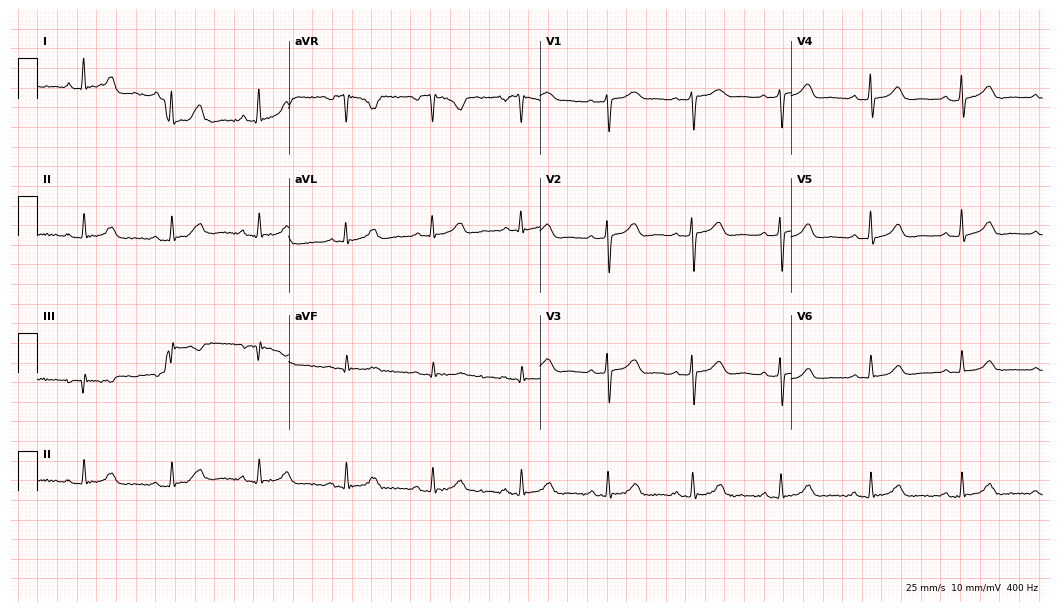
12-lead ECG from a 57-year-old woman. Recorded interpretation: within normal limits.